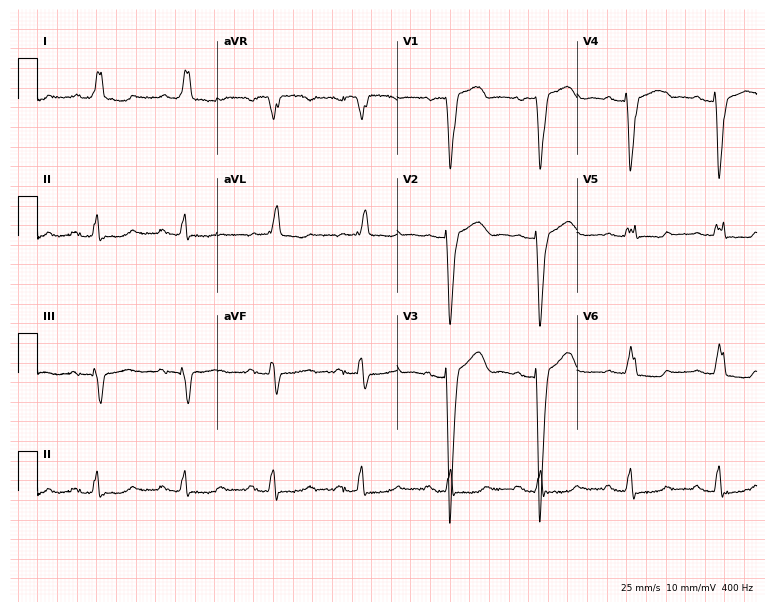
Resting 12-lead electrocardiogram (7.3-second recording at 400 Hz). Patient: a female, 73 years old. The tracing shows first-degree AV block, left bundle branch block.